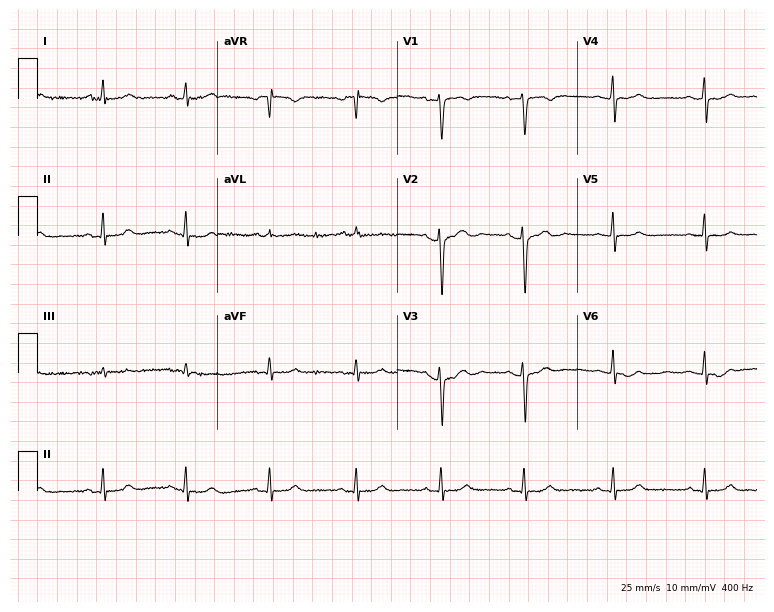
ECG (7.3-second recording at 400 Hz) — a female patient, 46 years old. Screened for six findings — first-degree AV block, right bundle branch block, left bundle branch block, sinus bradycardia, atrial fibrillation, sinus tachycardia — none is recorded.